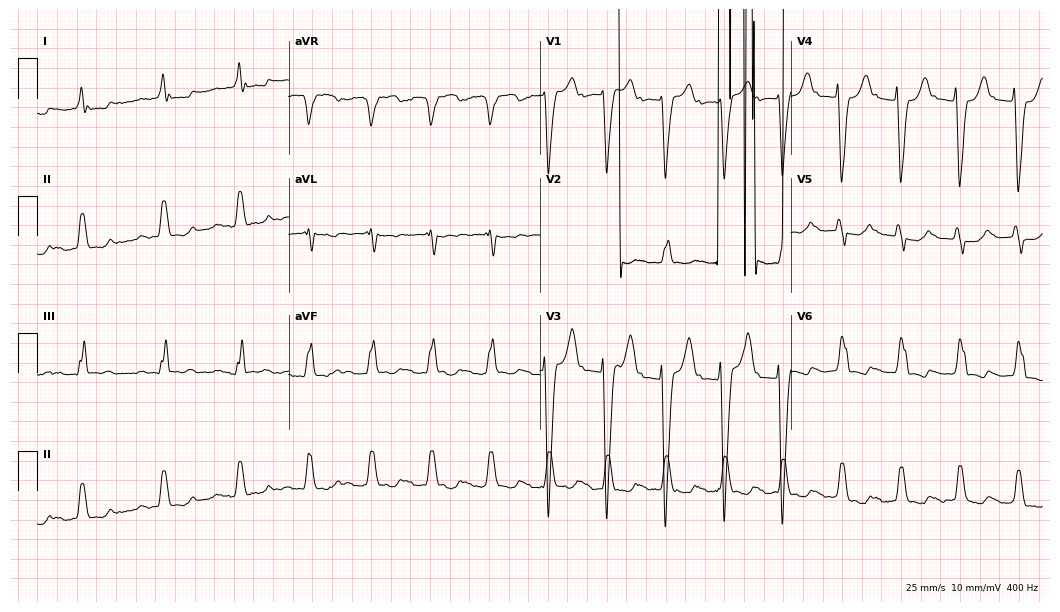
12-lead ECG from a woman, 76 years old (10.2-second recording at 400 Hz). Shows atrial fibrillation.